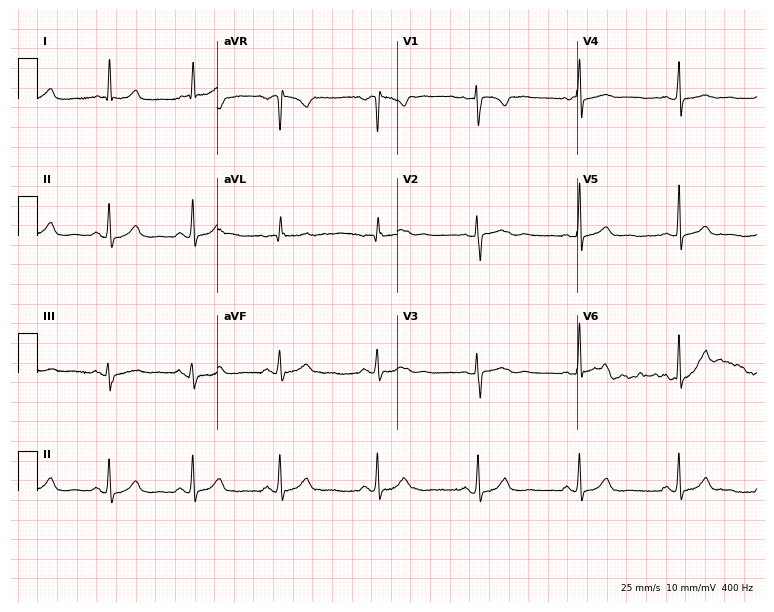
12-lead ECG from a 35-year-old female patient. Recorded interpretation: within normal limits.